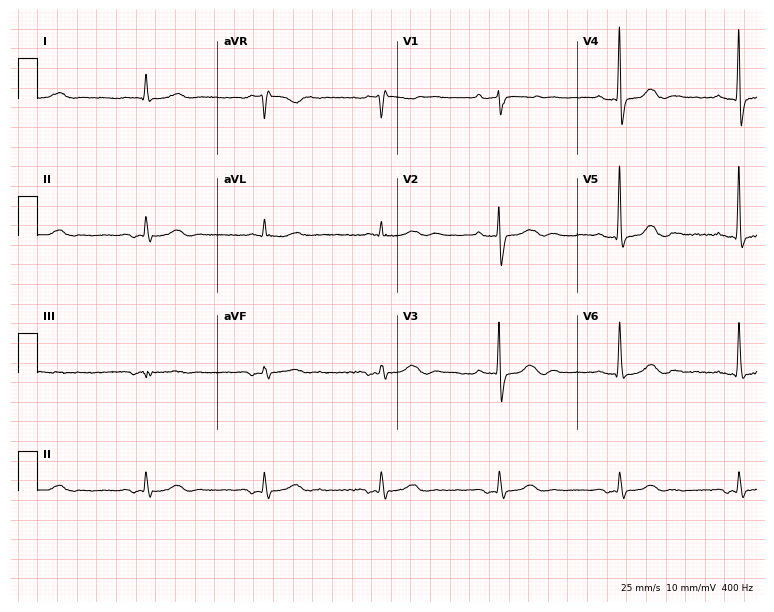
12-lead ECG from an 85-year-old male (7.3-second recording at 400 Hz). No first-degree AV block, right bundle branch block (RBBB), left bundle branch block (LBBB), sinus bradycardia, atrial fibrillation (AF) or sinus tachycardia recorded for this tracing.